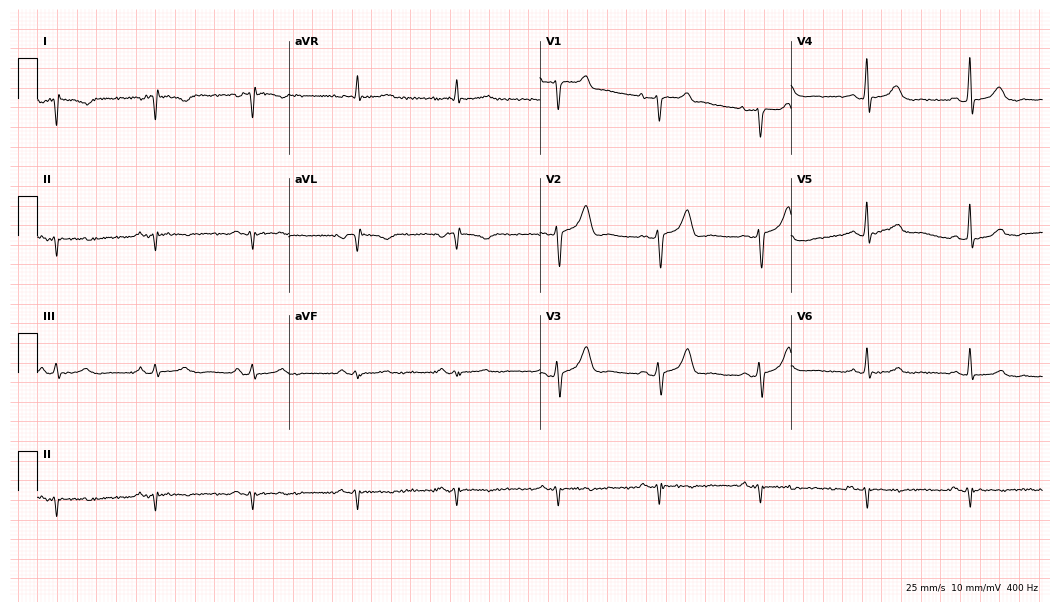
ECG — a 59-year-old male. Labelled as a normal ECG.